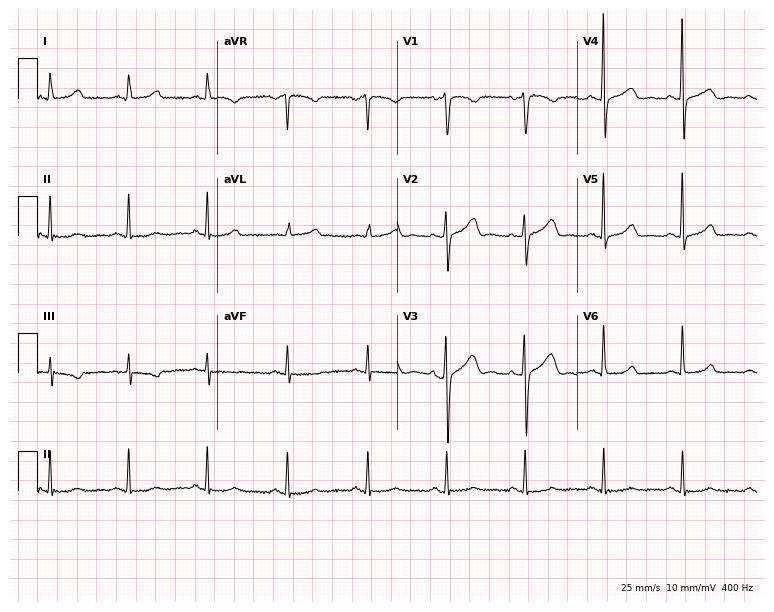
Electrocardiogram (7.3-second recording at 400 Hz), a 48-year-old female. Of the six screened findings (first-degree AV block, right bundle branch block, left bundle branch block, sinus bradycardia, atrial fibrillation, sinus tachycardia), none is recorded. Only these six findings were labelled.